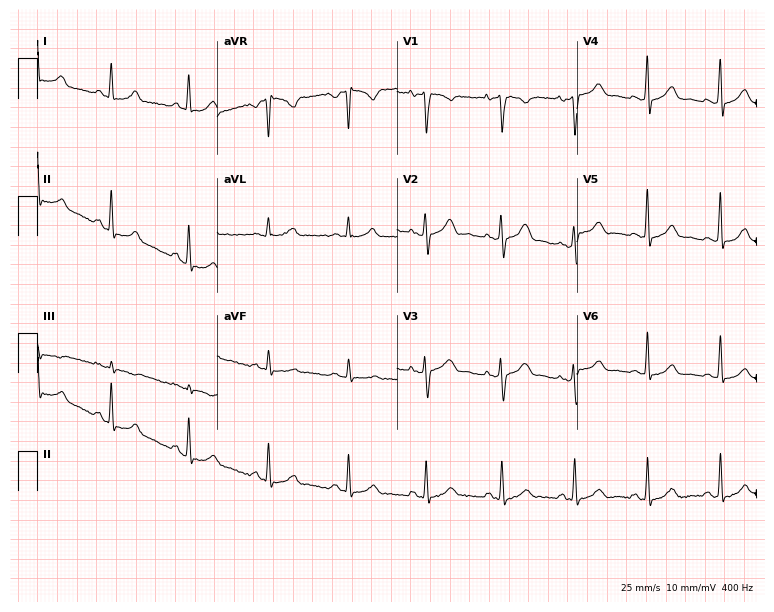
Resting 12-lead electrocardiogram. Patient: a 33-year-old female. None of these six findings is recorded: first-degree AV block, right bundle branch block (RBBB), left bundle branch block (LBBB), sinus bradycardia, atrial fibrillation (AF), sinus tachycardia.